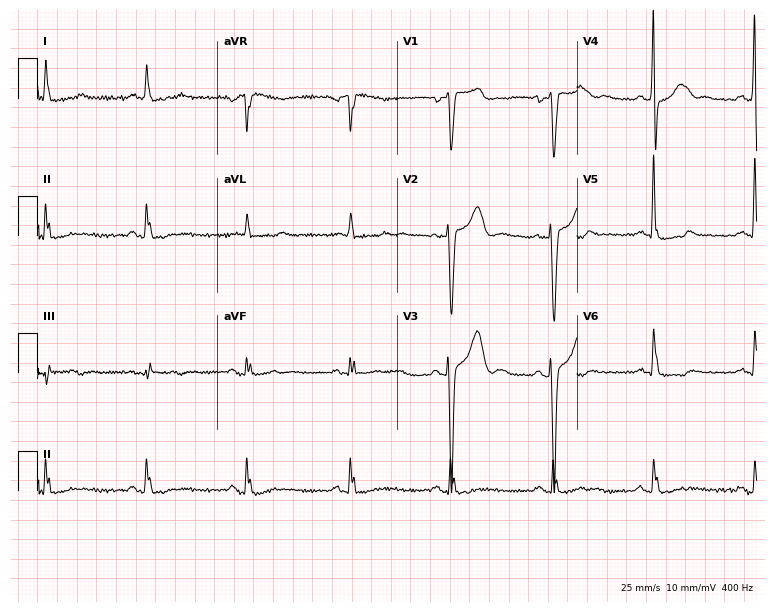
Standard 12-lead ECG recorded from a male, 61 years old. None of these six findings is recorded: first-degree AV block, right bundle branch block, left bundle branch block, sinus bradycardia, atrial fibrillation, sinus tachycardia. Other findings, if any, are not listed.